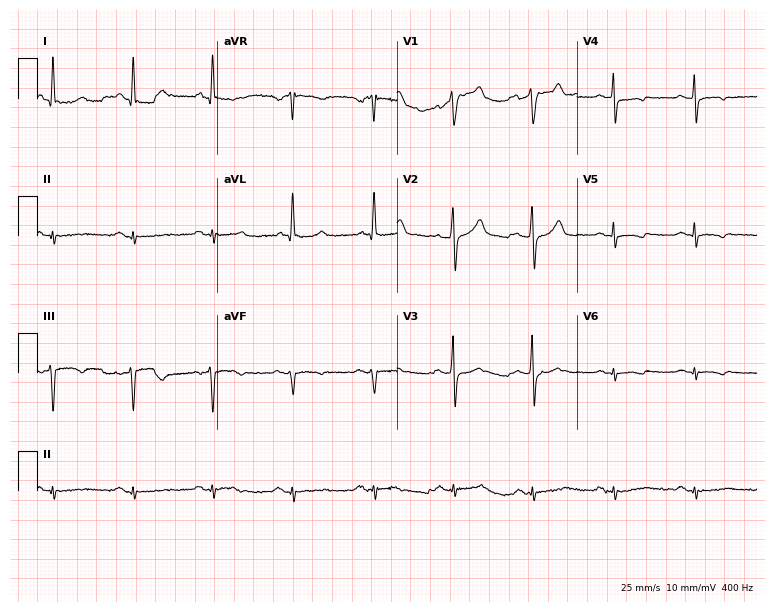
ECG (7.3-second recording at 400 Hz) — a man, 68 years old. Labelled as a normal ECG.